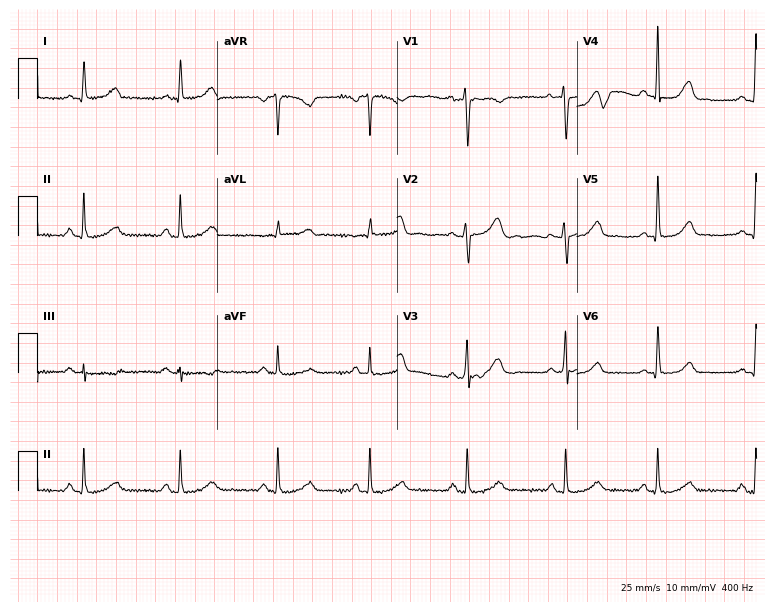
Resting 12-lead electrocardiogram. Patient: a 46-year-old woman. Read as a normal ECG.